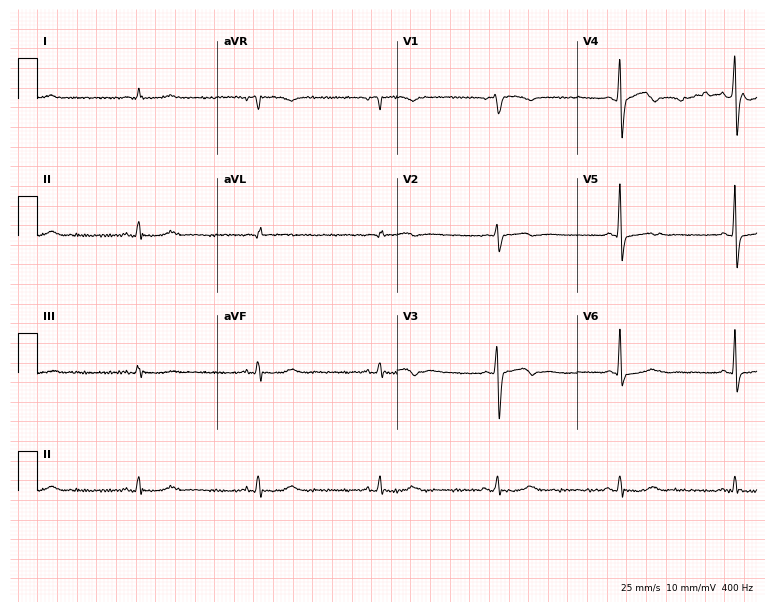
ECG — a male patient, 65 years old. Screened for six findings — first-degree AV block, right bundle branch block, left bundle branch block, sinus bradycardia, atrial fibrillation, sinus tachycardia — none is recorded. Findings outside these six are not listed.